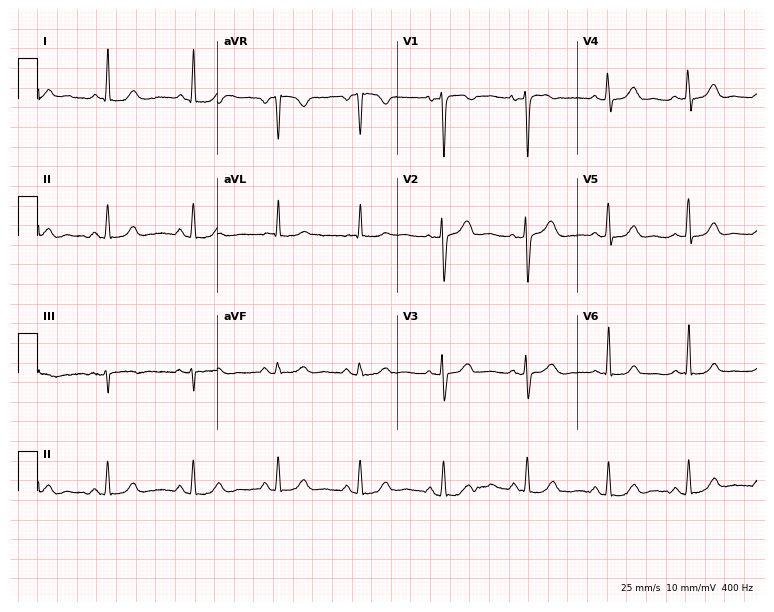
Standard 12-lead ECG recorded from a female patient, 47 years old (7.3-second recording at 400 Hz). Read as a normal ECG.